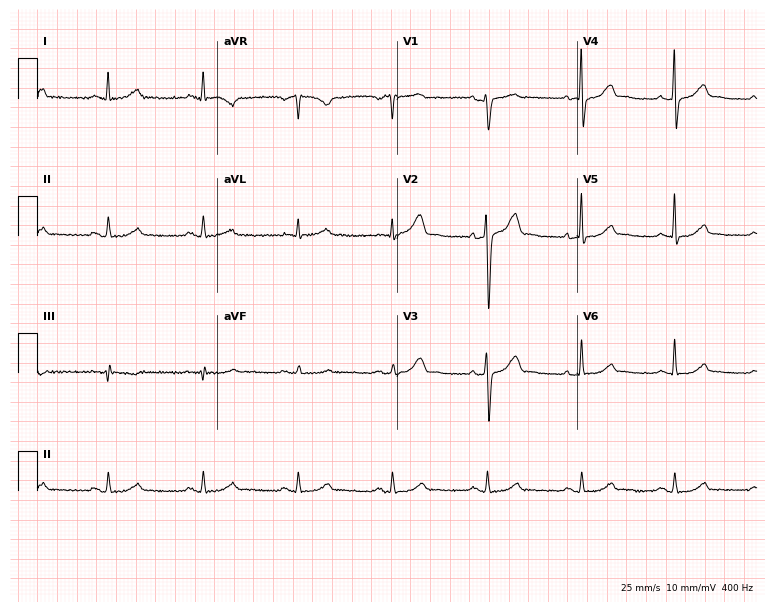
Standard 12-lead ECG recorded from a female patient, 62 years old (7.3-second recording at 400 Hz). None of these six findings is recorded: first-degree AV block, right bundle branch block, left bundle branch block, sinus bradycardia, atrial fibrillation, sinus tachycardia. Only these six findings were labelled.